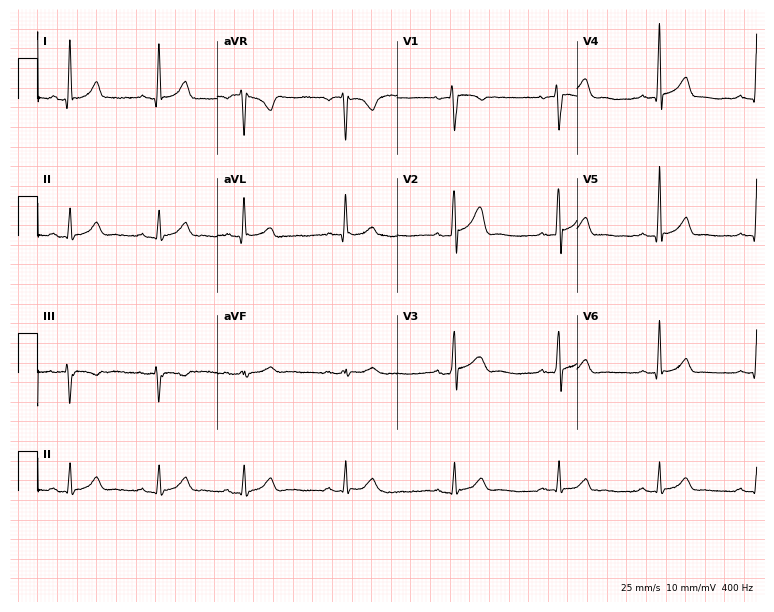
12-lead ECG from a 30-year-old male. Labelled as a normal ECG.